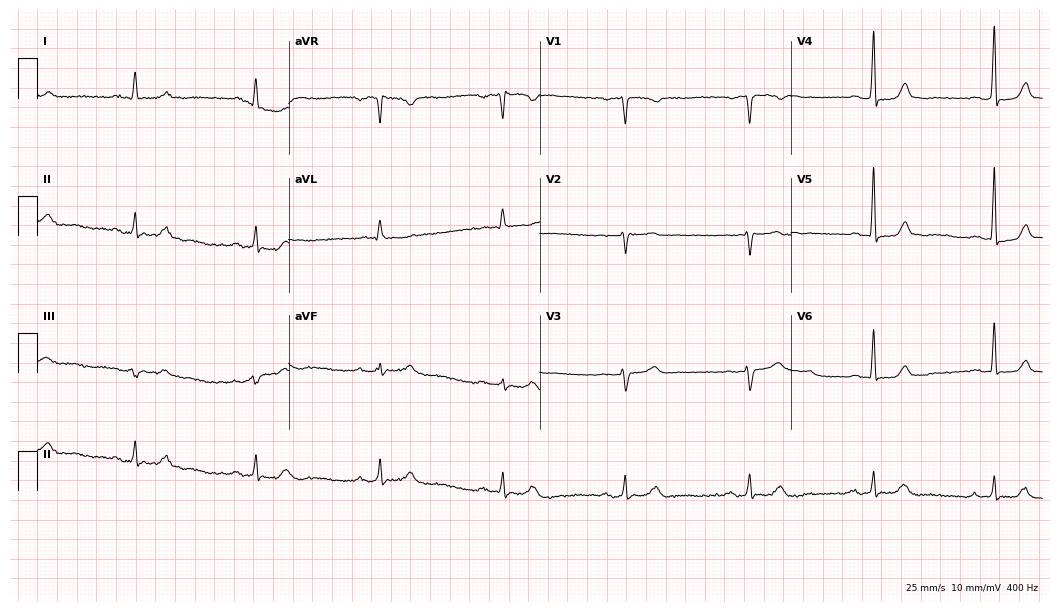
Electrocardiogram (10.2-second recording at 400 Hz), a female, 73 years old. Overall reading on record: normal ECG.